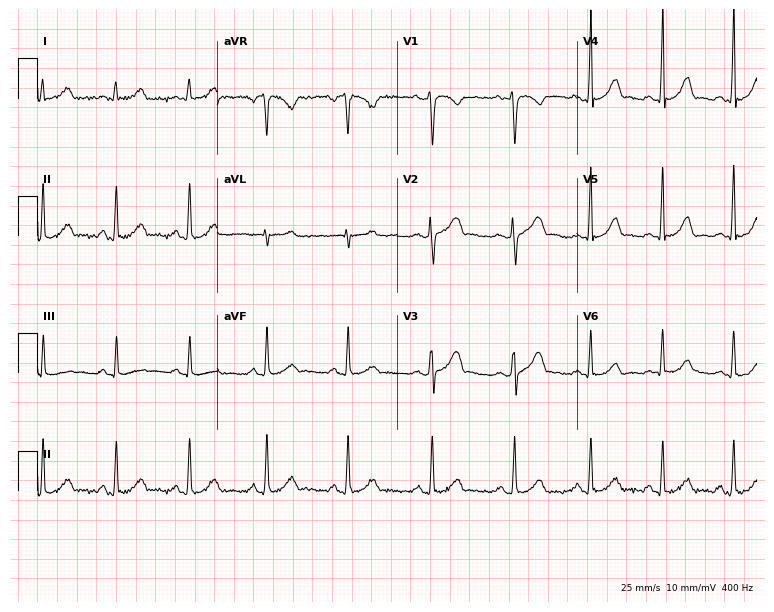
12-lead ECG from a female, 32 years old. No first-degree AV block, right bundle branch block (RBBB), left bundle branch block (LBBB), sinus bradycardia, atrial fibrillation (AF) or sinus tachycardia recorded for this tracing.